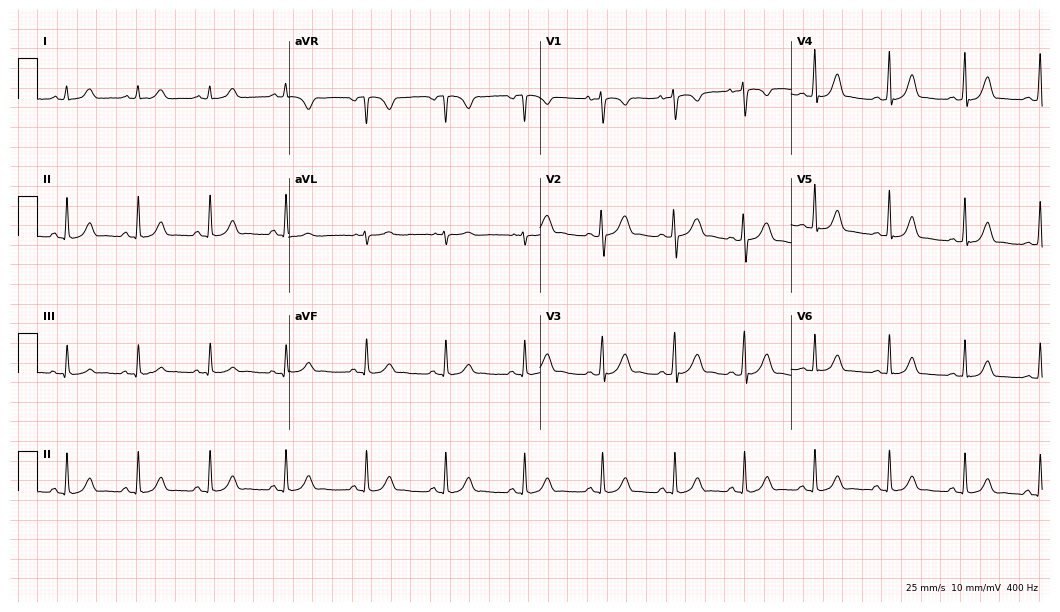
Standard 12-lead ECG recorded from a female patient, 19 years old (10.2-second recording at 400 Hz). Read as a normal ECG.